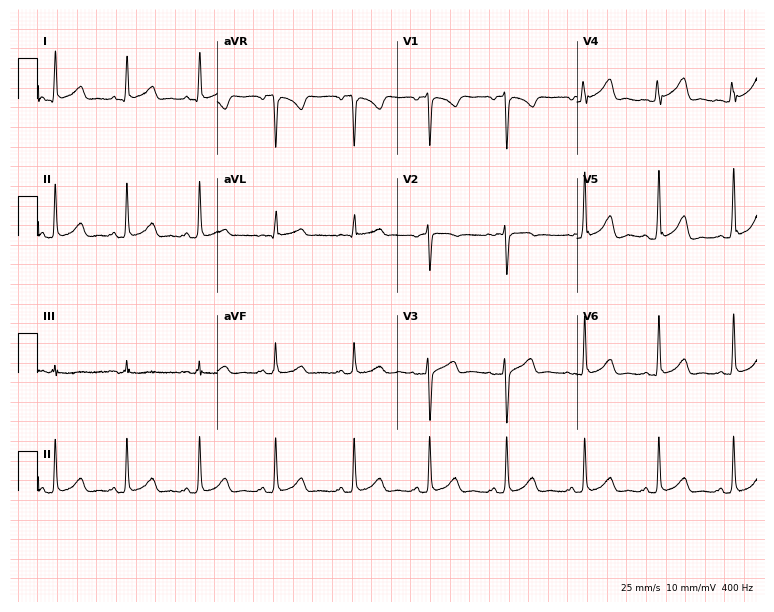
Electrocardiogram, a 34-year-old female patient. Overall reading on record: normal ECG.